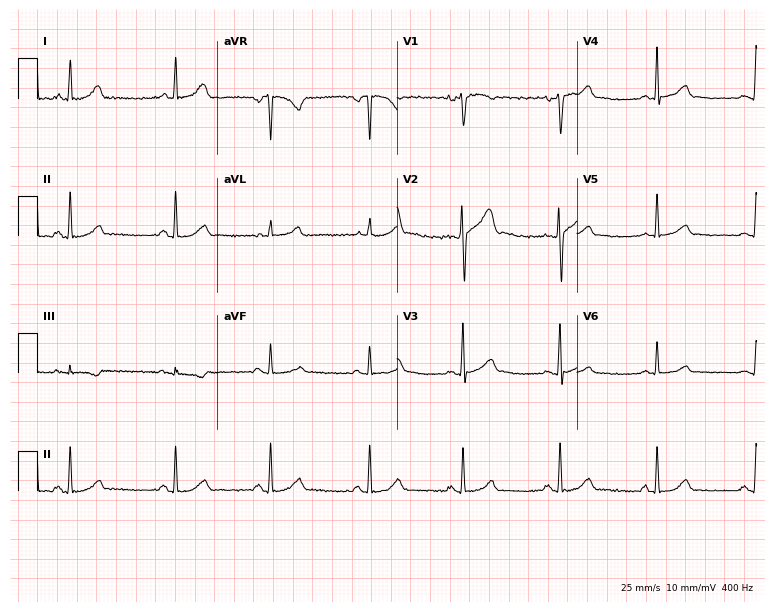
Electrocardiogram (7.3-second recording at 400 Hz), a female, 31 years old. Overall reading on record: normal ECG.